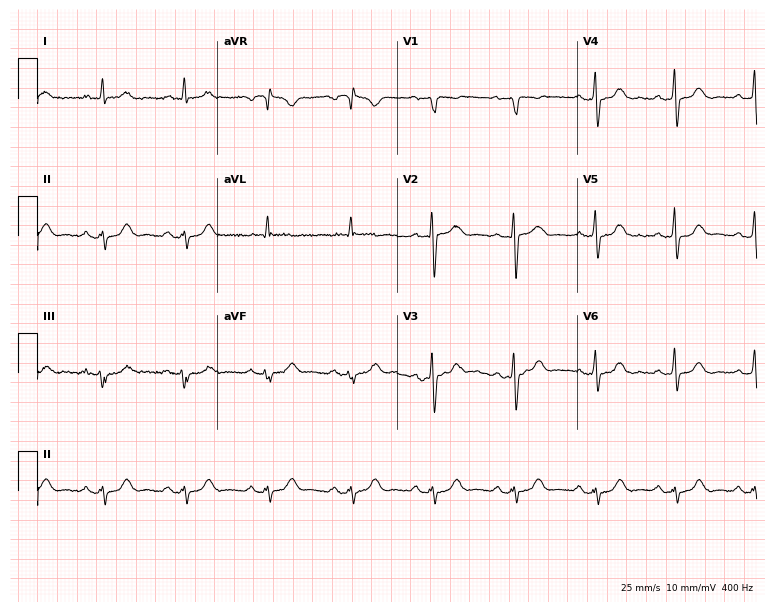
ECG — an 84-year-old man. Screened for six findings — first-degree AV block, right bundle branch block, left bundle branch block, sinus bradycardia, atrial fibrillation, sinus tachycardia — none is recorded.